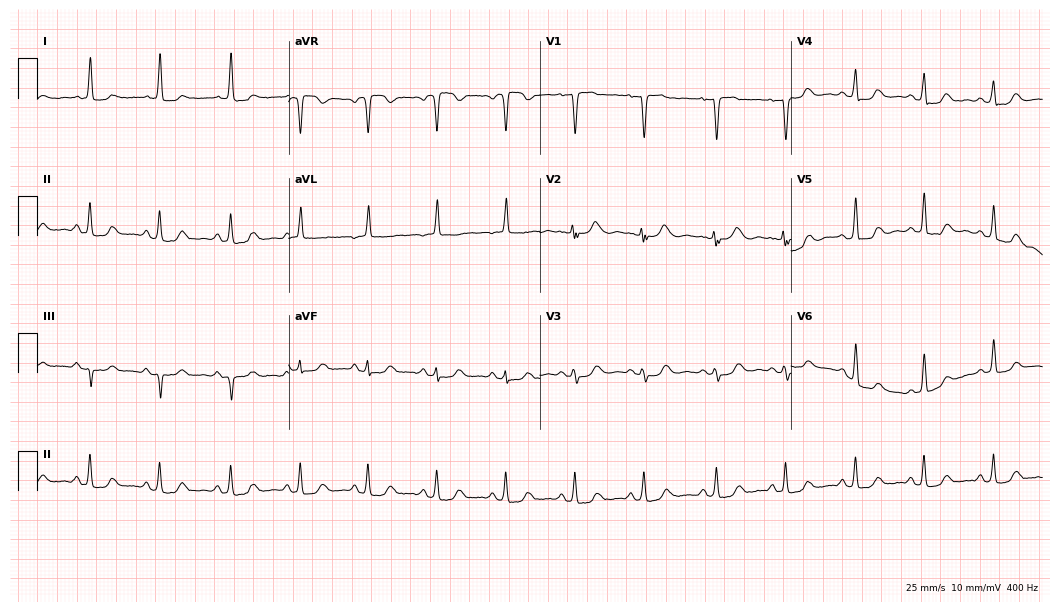
Standard 12-lead ECG recorded from a 48-year-old woman. Read as a normal ECG.